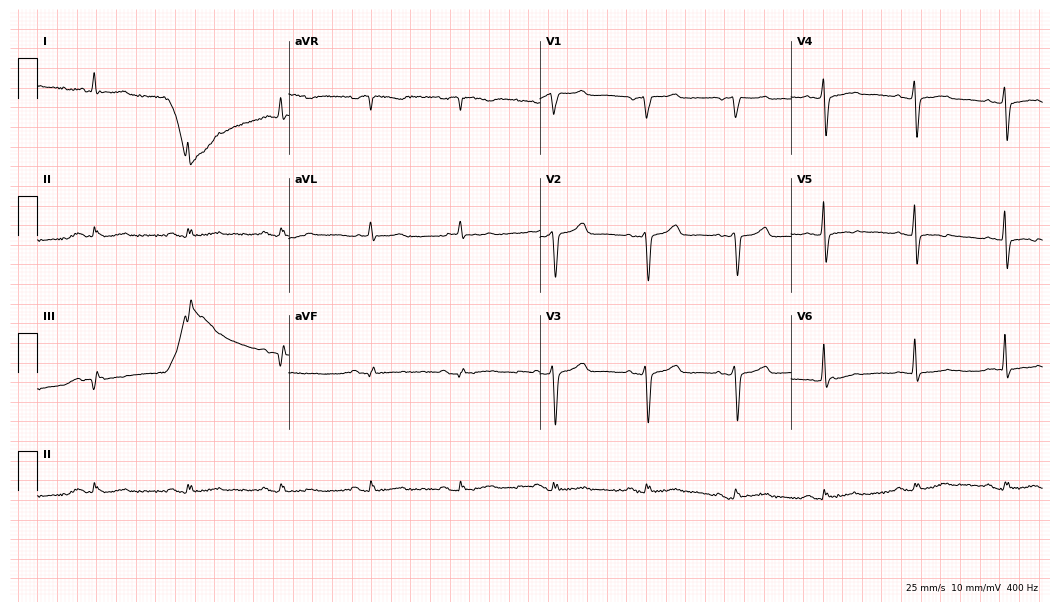
Resting 12-lead electrocardiogram (10.2-second recording at 400 Hz). Patient: a male, 57 years old. None of these six findings is recorded: first-degree AV block, right bundle branch block (RBBB), left bundle branch block (LBBB), sinus bradycardia, atrial fibrillation (AF), sinus tachycardia.